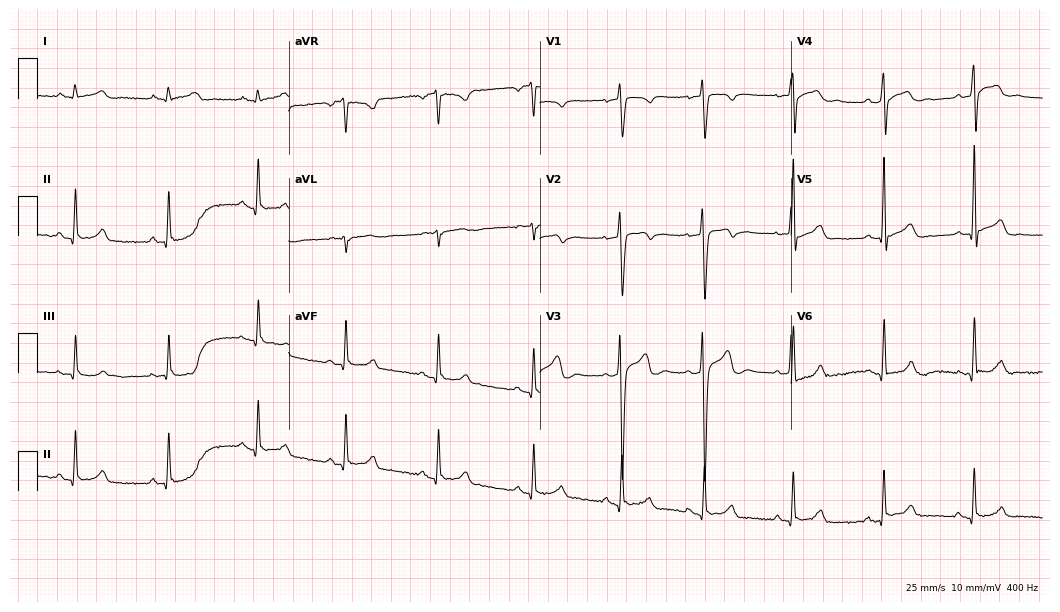
12-lead ECG from a 24-year-old man. Screened for six findings — first-degree AV block, right bundle branch block, left bundle branch block, sinus bradycardia, atrial fibrillation, sinus tachycardia — none is recorded. Other findings, if any, are not listed.